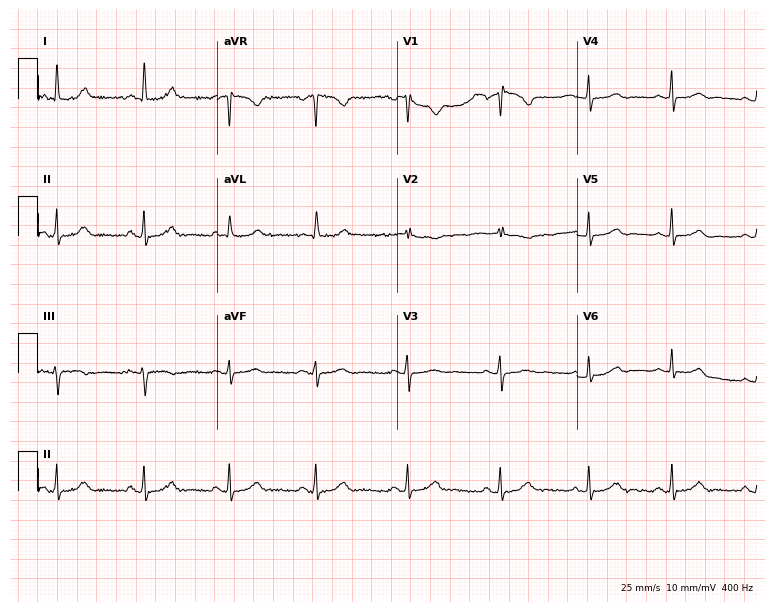
Electrocardiogram, a female, 42 years old. Of the six screened findings (first-degree AV block, right bundle branch block, left bundle branch block, sinus bradycardia, atrial fibrillation, sinus tachycardia), none is recorded. Only these six findings were labelled.